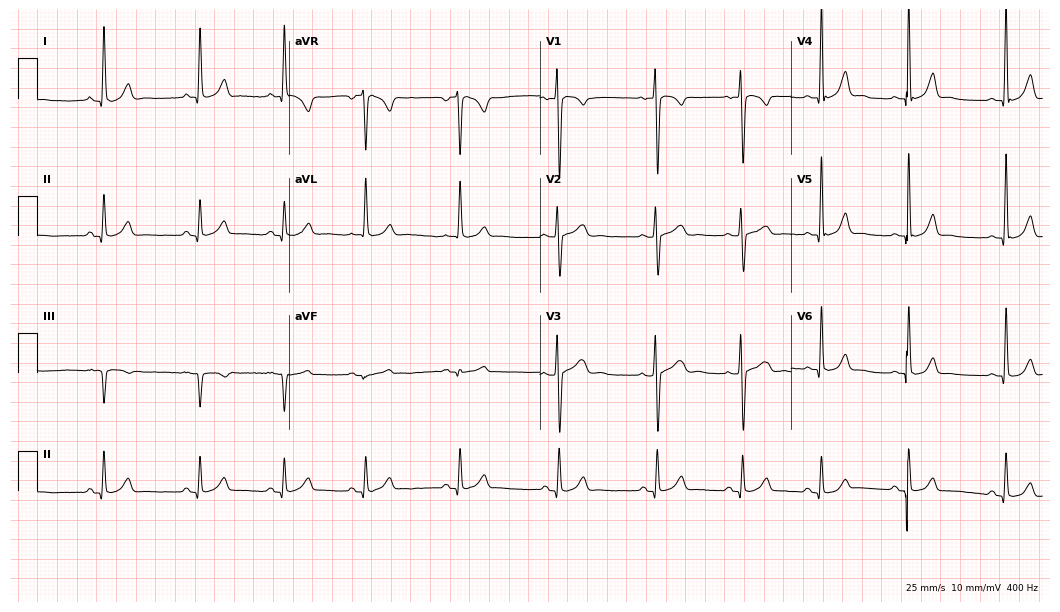
12-lead ECG from a 17-year-old woman. Recorded interpretation: within normal limits.